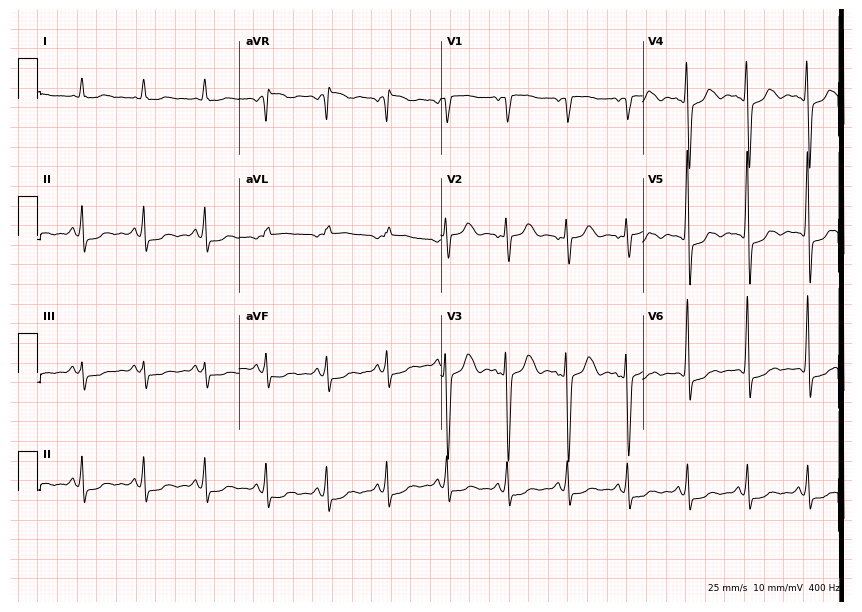
ECG — a 56-year-old woman. Screened for six findings — first-degree AV block, right bundle branch block, left bundle branch block, sinus bradycardia, atrial fibrillation, sinus tachycardia — none is recorded. Findings outside these six are not listed.